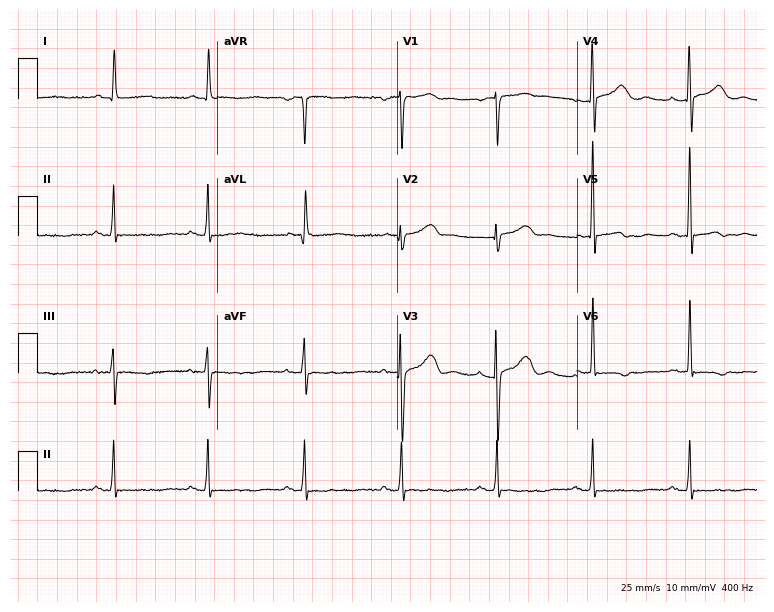
Standard 12-lead ECG recorded from an 82-year-old female. Read as a normal ECG.